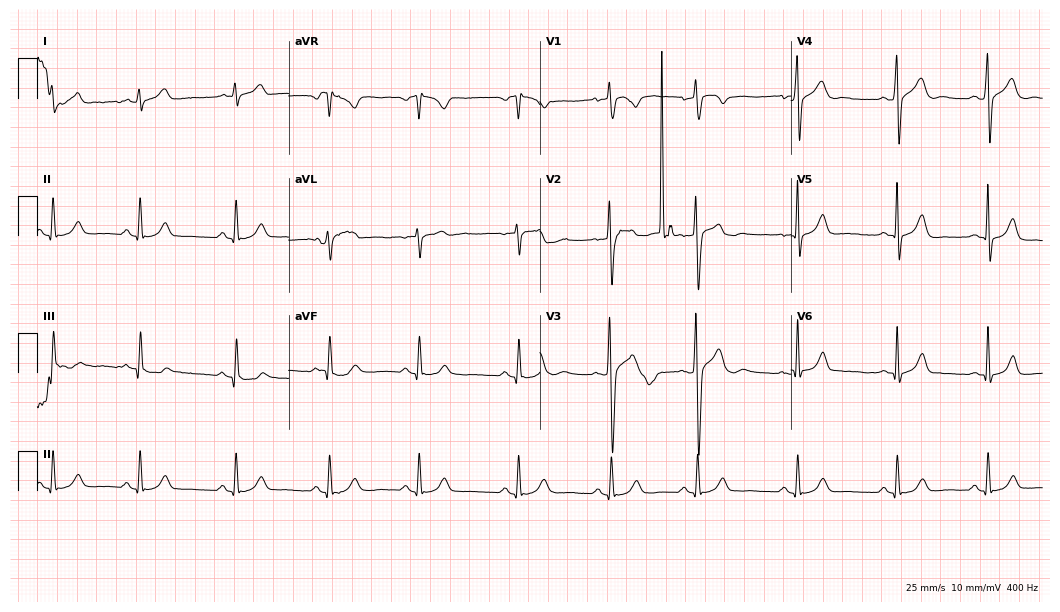
12-lead ECG (10.2-second recording at 400 Hz) from a 26-year-old male. Labelled as a normal ECG.